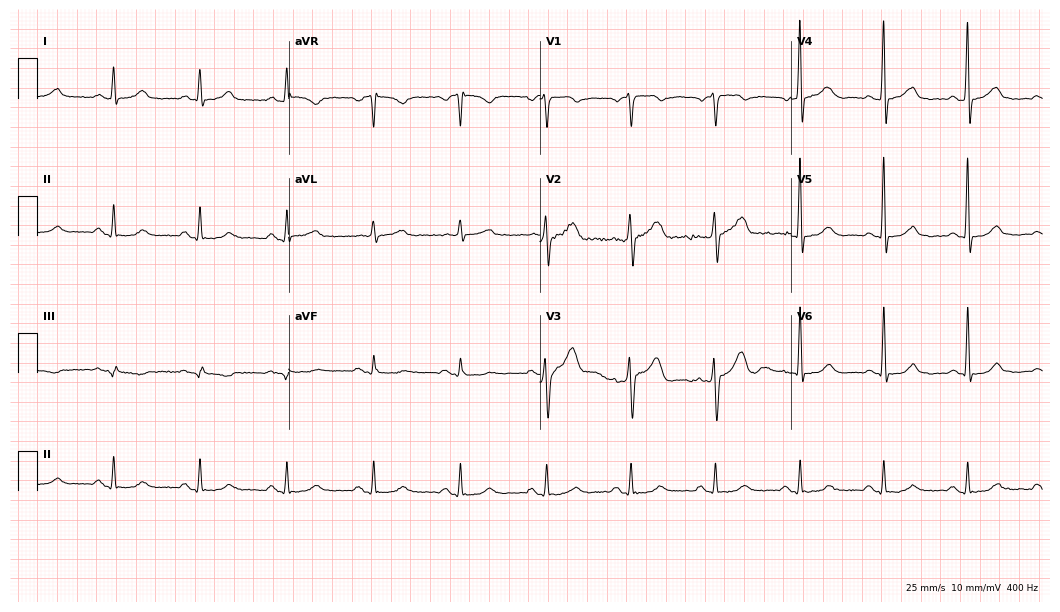
12-lead ECG from a 56-year-old man. Screened for six findings — first-degree AV block, right bundle branch block, left bundle branch block, sinus bradycardia, atrial fibrillation, sinus tachycardia — none is recorded.